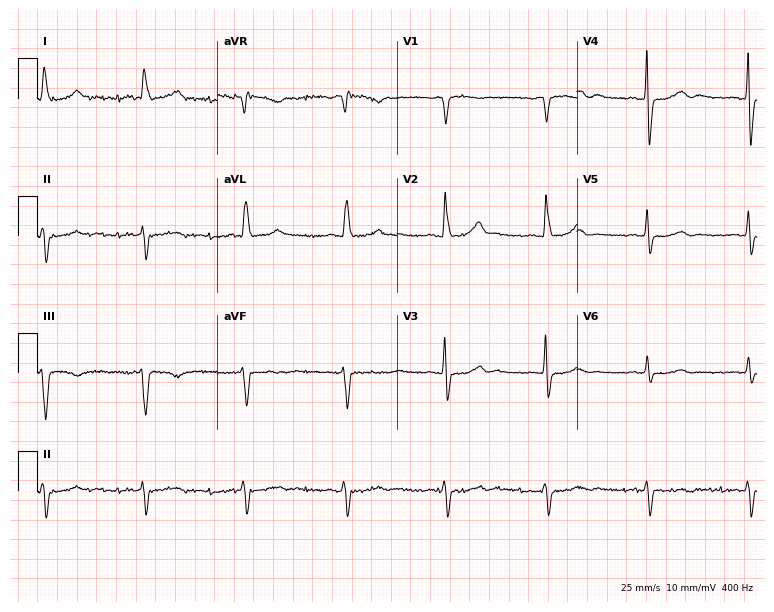
Standard 12-lead ECG recorded from a 77-year-old woman. None of these six findings is recorded: first-degree AV block, right bundle branch block, left bundle branch block, sinus bradycardia, atrial fibrillation, sinus tachycardia. Only these six findings were labelled.